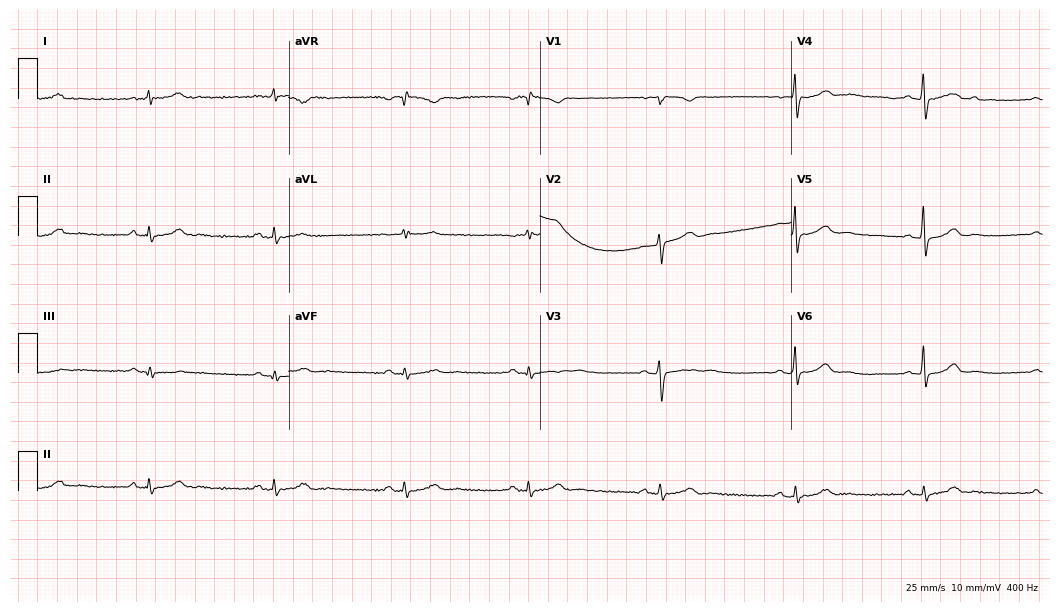
ECG (10.2-second recording at 400 Hz) — a 48-year-old female. Findings include sinus bradycardia (a sinus rate of 50 beats per minute or less).